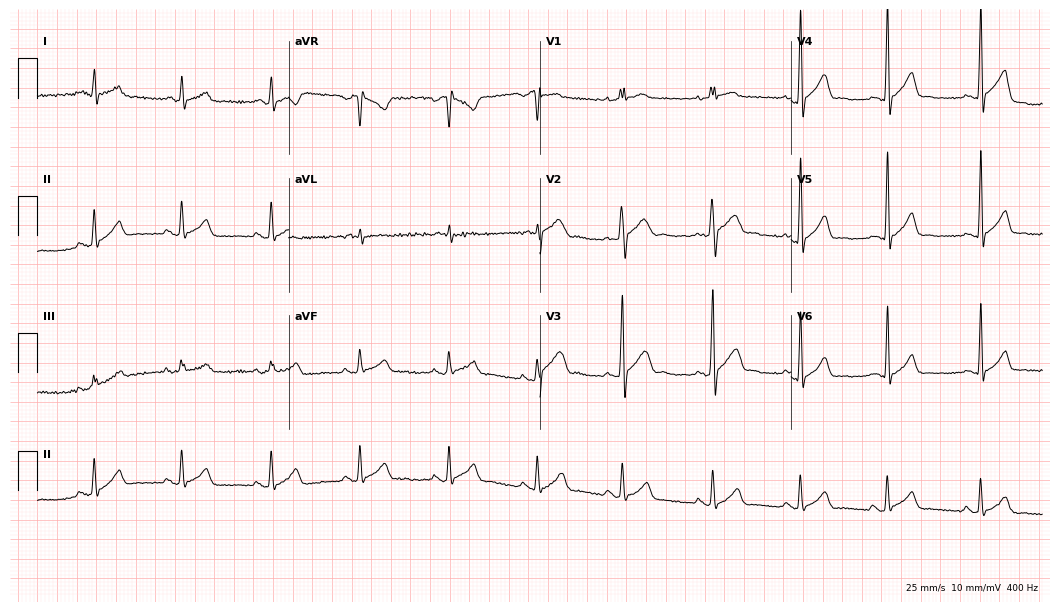
ECG (10.2-second recording at 400 Hz) — a male patient, 23 years old. Labelled as a normal ECG.